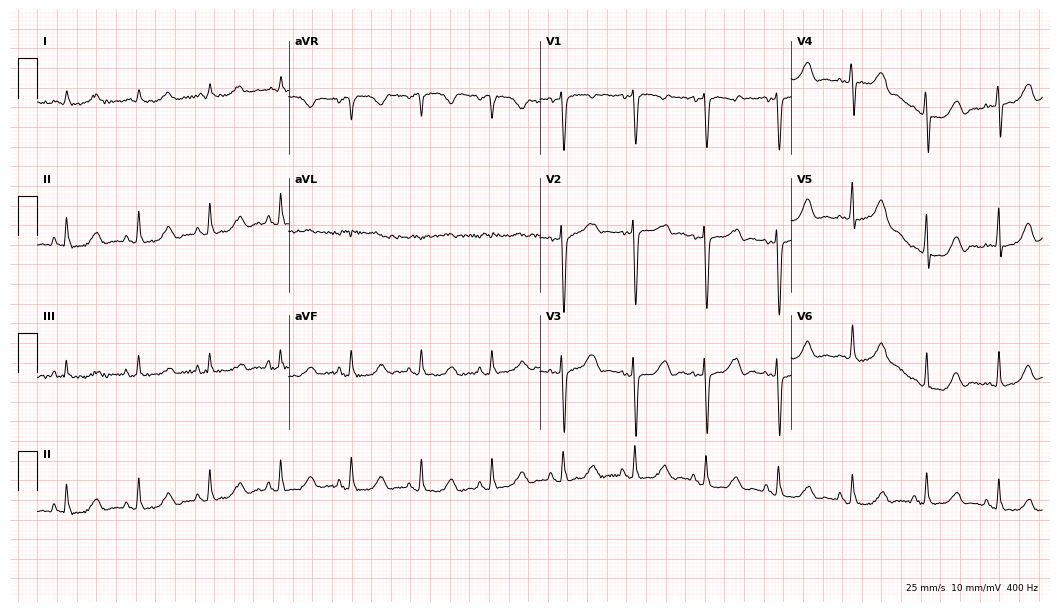
12-lead ECG from a male, 55 years old. Recorded interpretation: within normal limits.